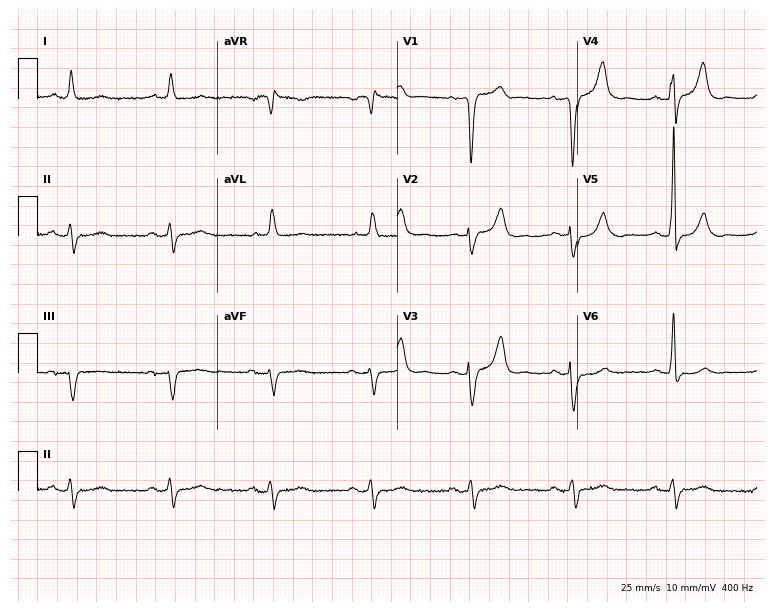
Resting 12-lead electrocardiogram. Patient: a male, 84 years old. The tracing shows left bundle branch block.